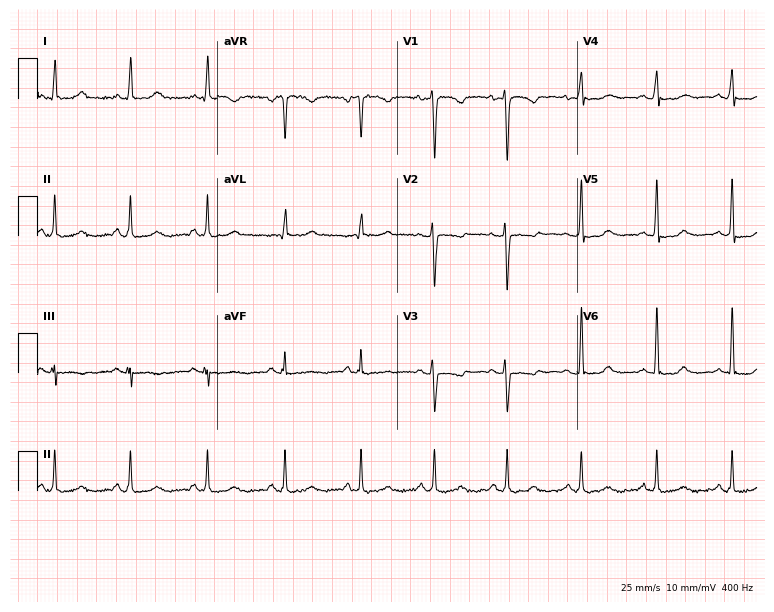
Electrocardiogram (7.3-second recording at 400 Hz), a female patient, 43 years old. Of the six screened findings (first-degree AV block, right bundle branch block, left bundle branch block, sinus bradycardia, atrial fibrillation, sinus tachycardia), none is recorded. Other findings, if any, are not listed.